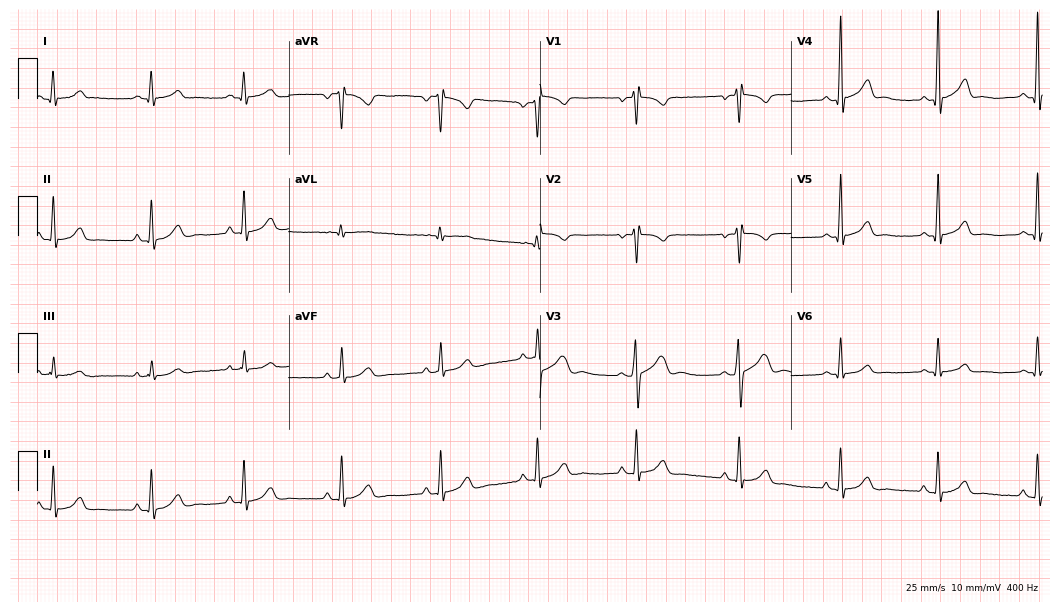
12-lead ECG (10.2-second recording at 400 Hz) from a woman, 33 years old. Labelled as a normal ECG.